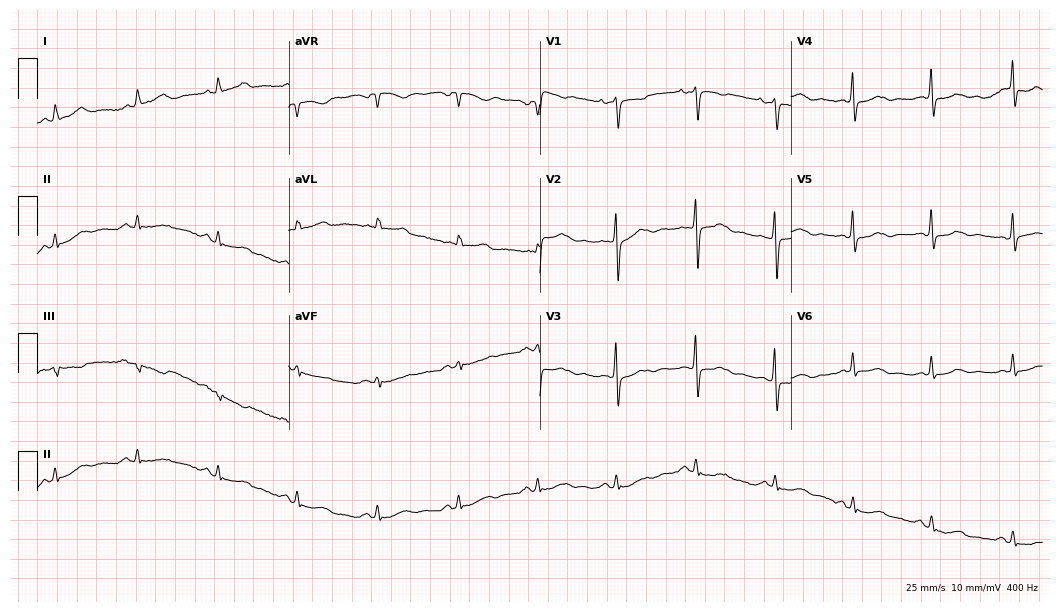
12-lead ECG from a 60-year-old female patient. Screened for six findings — first-degree AV block, right bundle branch block (RBBB), left bundle branch block (LBBB), sinus bradycardia, atrial fibrillation (AF), sinus tachycardia — none is recorded.